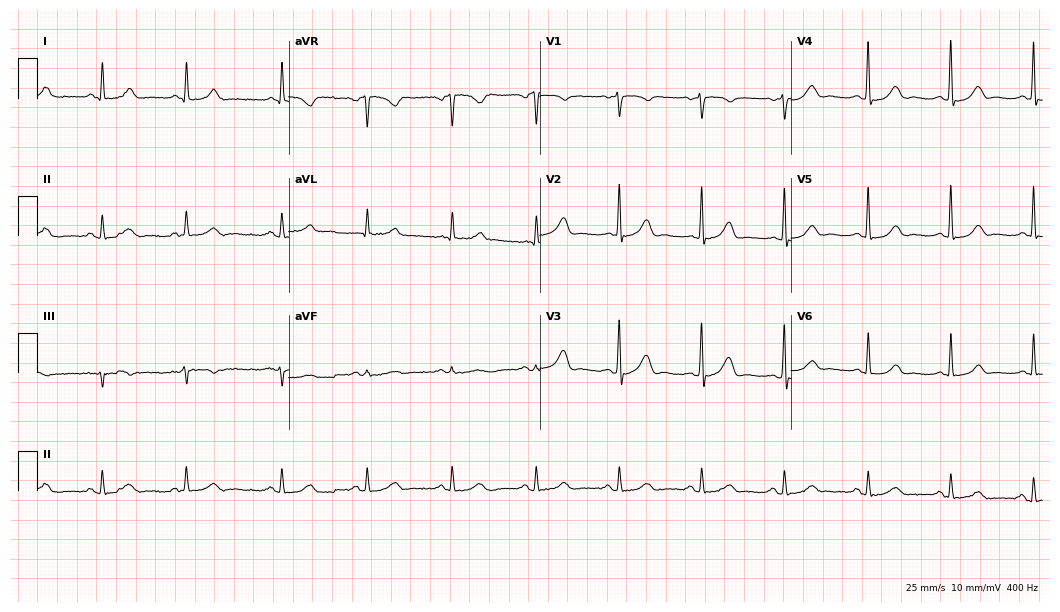
12-lead ECG from a woman, 59 years old. Screened for six findings — first-degree AV block, right bundle branch block, left bundle branch block, sinus bradycardia, atrial fibrillation, sinus tachycardia — none is recorded. Other findings, if any, are not listed.